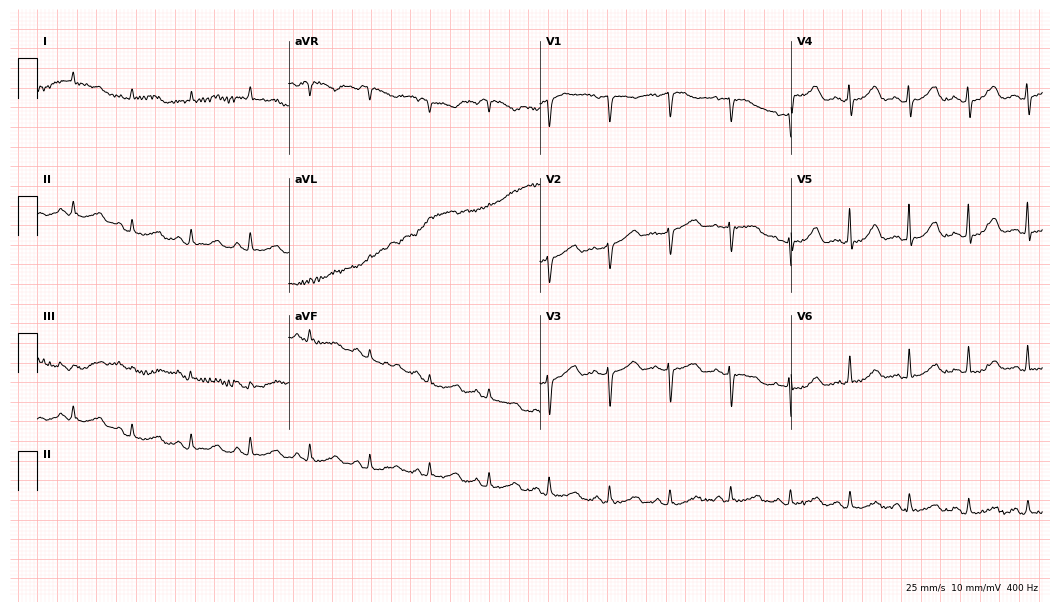
12-lead ECG from an 80-year-old woman. No first-degree AV block, right bundle branch block (RBBB), left bundle branch block (LBBB), sinus bradycardia, atrial fibrillation (AF) or sinus tachycardia recorded for this tracing.